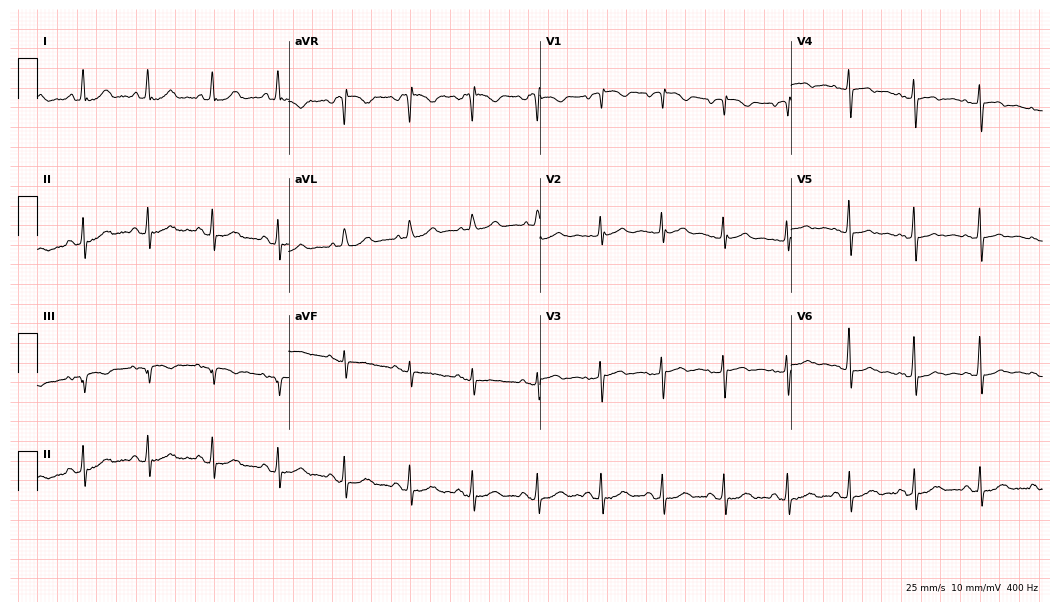
Standard 12-lead ECG recorded from a woman, 59 years old (10.2-second recording at 400 Hz). None of these six findings is recorded: first-degree AV block, right bundle branch block (RBBB), left bundle branch block (LBBB), sinus bradycardia, atrial fibrillation (AF), sinus tachycardia. Findings outside these six are not listed.